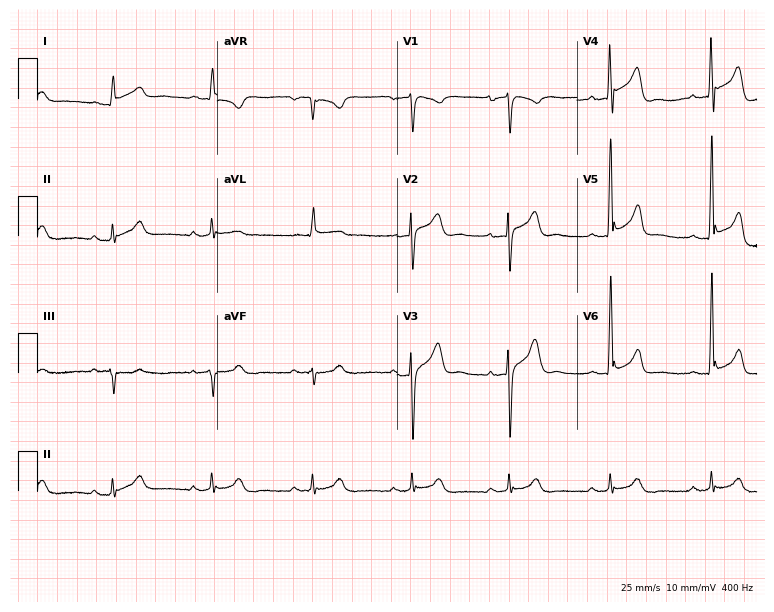
12-lead ECG from a 63-year-old man. No first-degree AV block, right bundle branch block (RBBB), left bundle branch block (LBBB), sinus bradycardia, atrial fibrillation (AF) or sinus tachycardia recorded for this tracing.